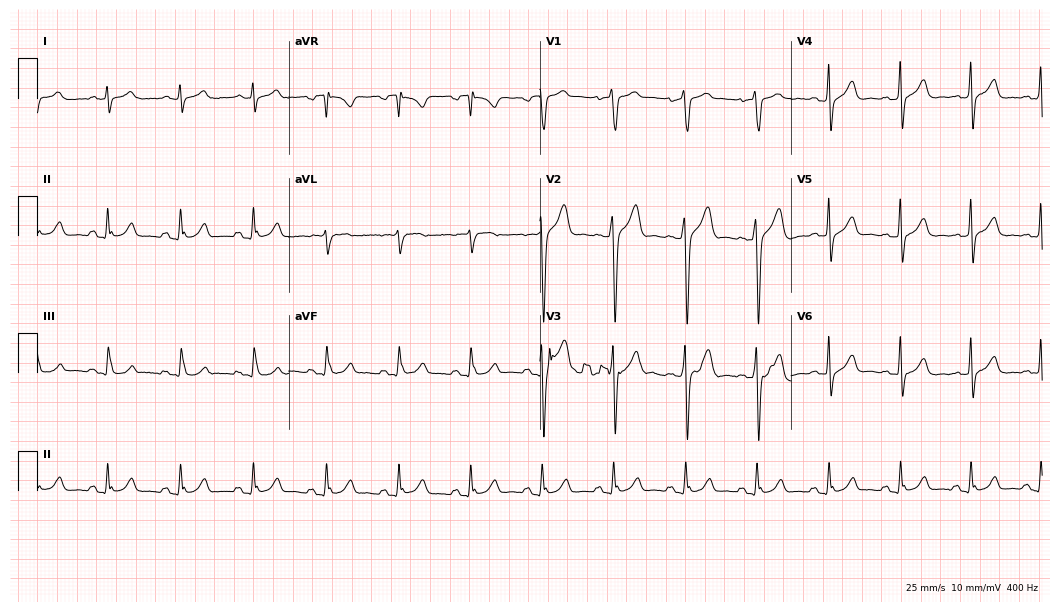
ECG (10.2-second recording at 400 Hz) — a 42-year-old man. Labelled as a normal ECG.